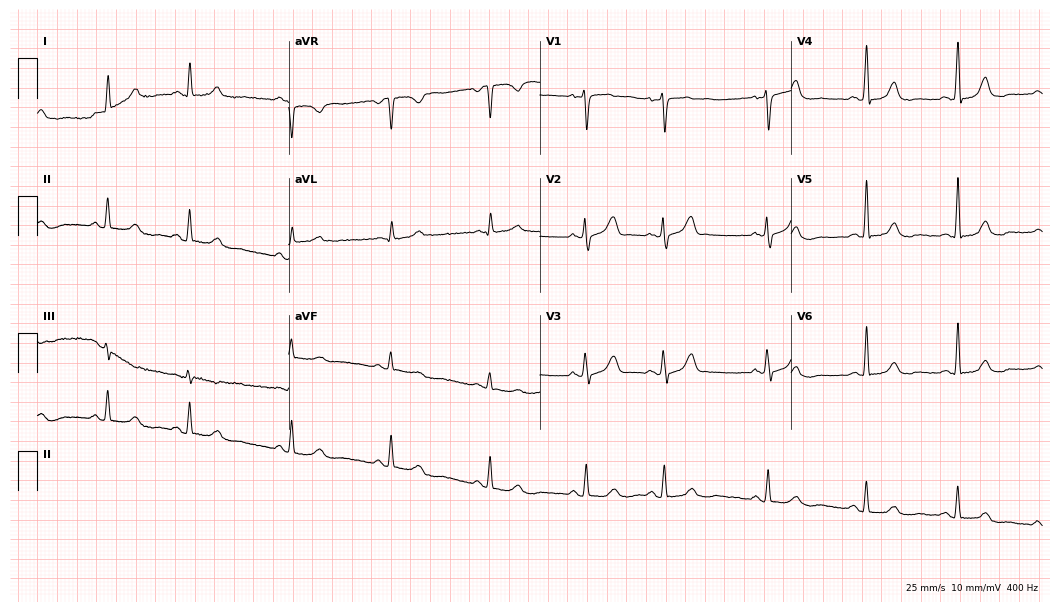
Resting 12-lead electrocardiogram (10.2-second recording at 400 Hz). Patient: a 65-year-old female. Read as a normal ECG.